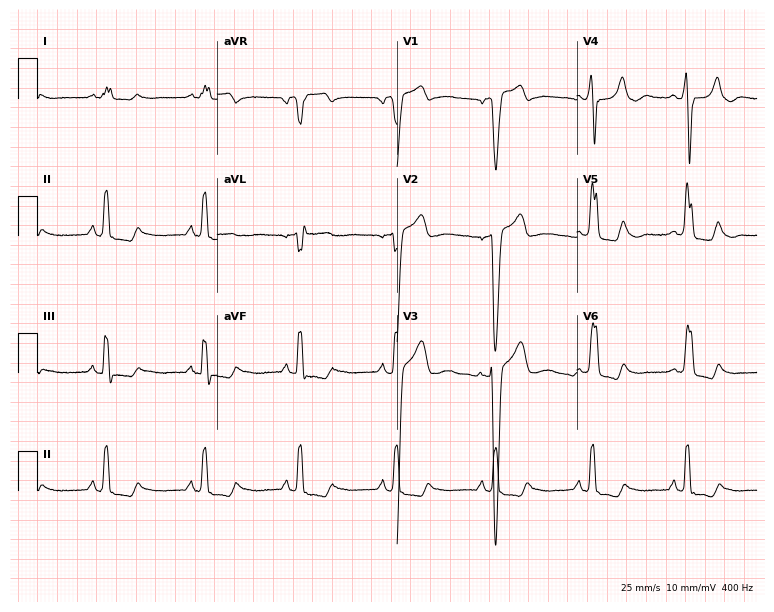
Electrocardiogram, a 66-year-old male. Interpretation includes left bundle branch block (LBBB), sinus bradycardia (a sinus rate of 50 beats per minute or less).